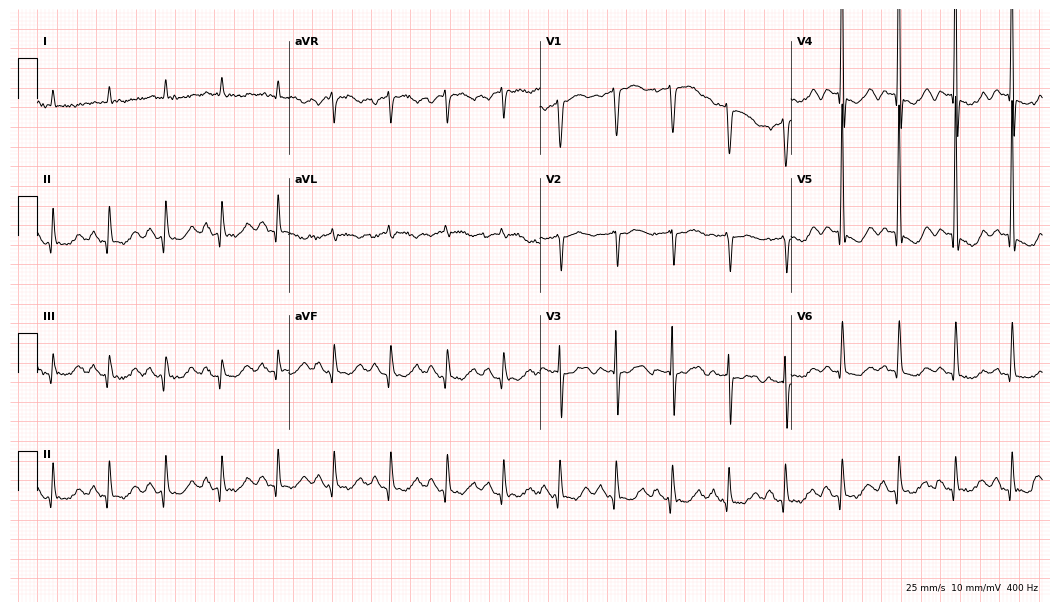
12-lead ECG from a female, 80 years old. No first-degree AV block, right bundle branch block, left bundle branch block, sinus bradycardia, atrial fibrillation or sinus tachycardia recorded for this tracing.